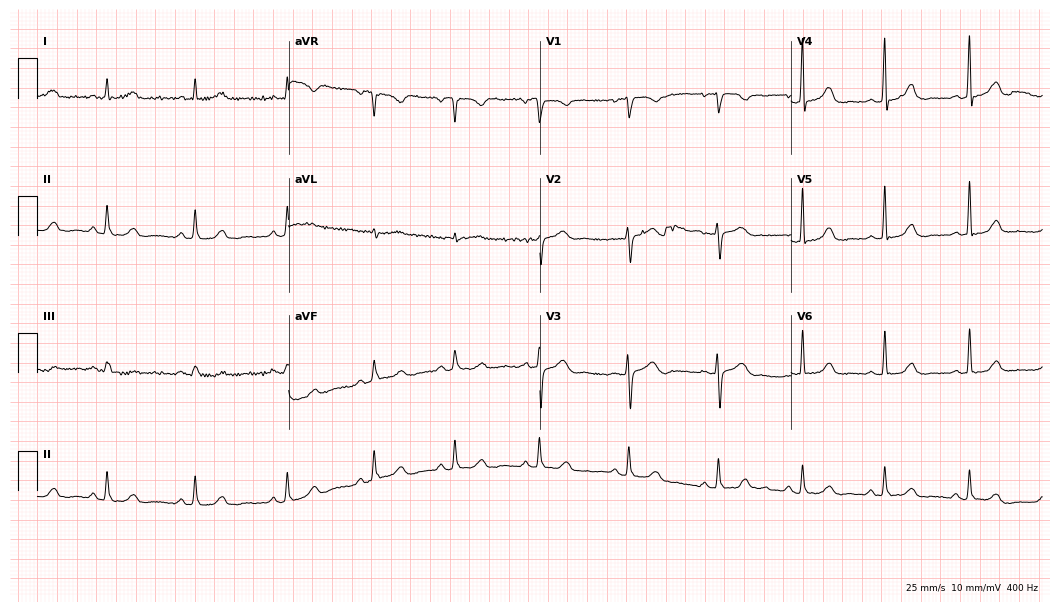
12-lead ECG from a 36-year-old female. No first-degree AV block, right bundle branch block (RBBB), left bundle branch block (LBBB), sinus bradycardia, atrial fibrillation (AF) or sinus tachycardia recorded for this tracing. Other findings, if any, are not listed.